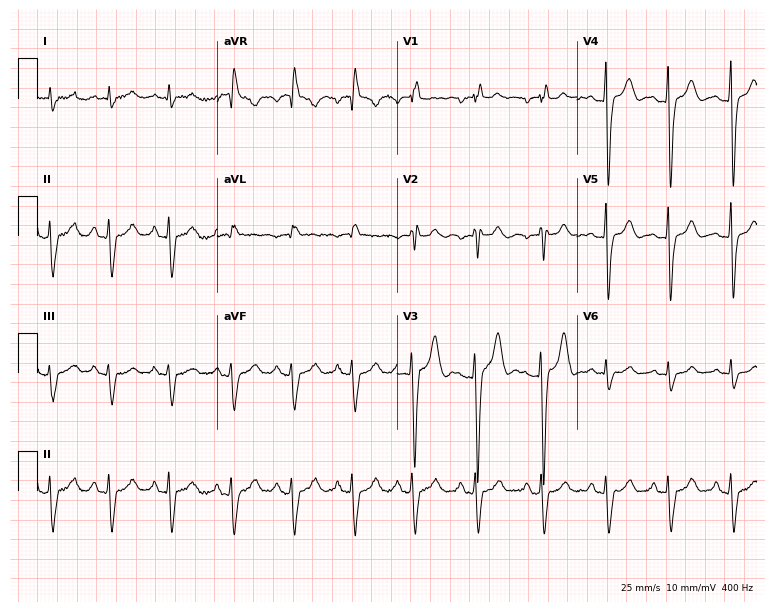
Electrocardiogram (7.3-second recording at 400 Hz), a male, 27 years old. Of the six screened findings (first-degree AV block, right bundle branch block, left bundle branch block, sinus bradycardia, atrial fibrillation, sinus tachycardia), none is recorded.